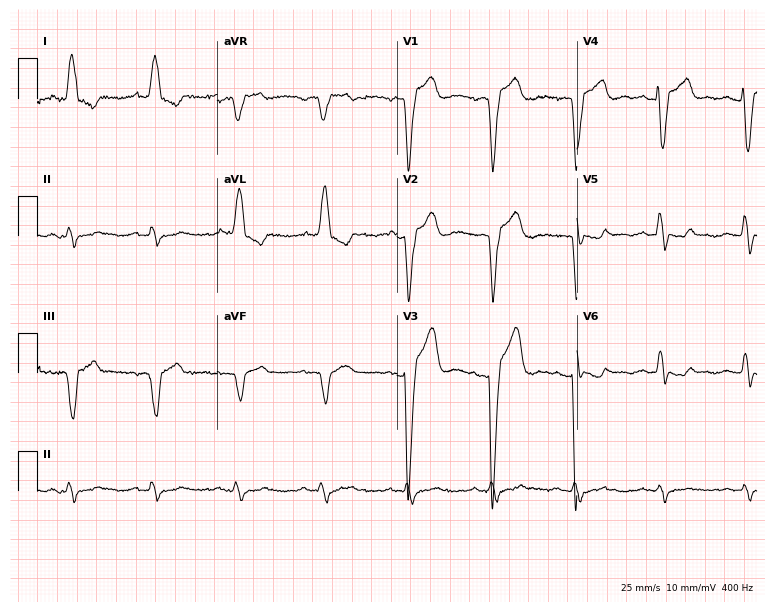
Standard 12-lead ECG recorded from a female patient, 70 years old (7.3-second recording at 400 Hz). The tracing shows left bundle branch block.